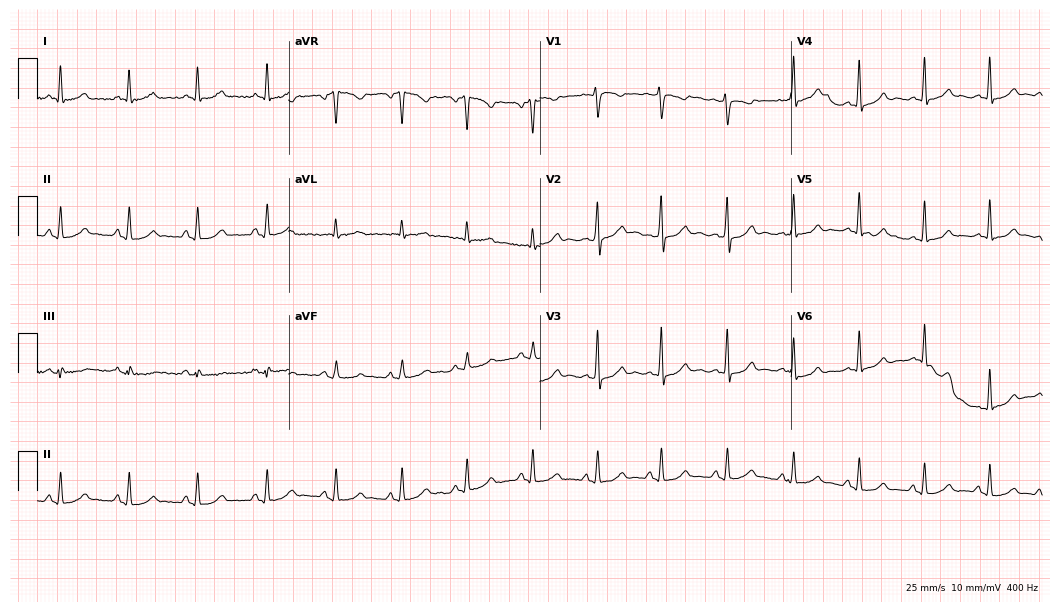
12-lead ECG from a woman, 47 years old. No first-degree AV block, right bundle branch block (RBBB), left bundle branch block (LBBB), sinus bradycardia, atrial fibrillation (AF) or sinus tachycardia recorded for this tracing. Only these six findings were labelled.